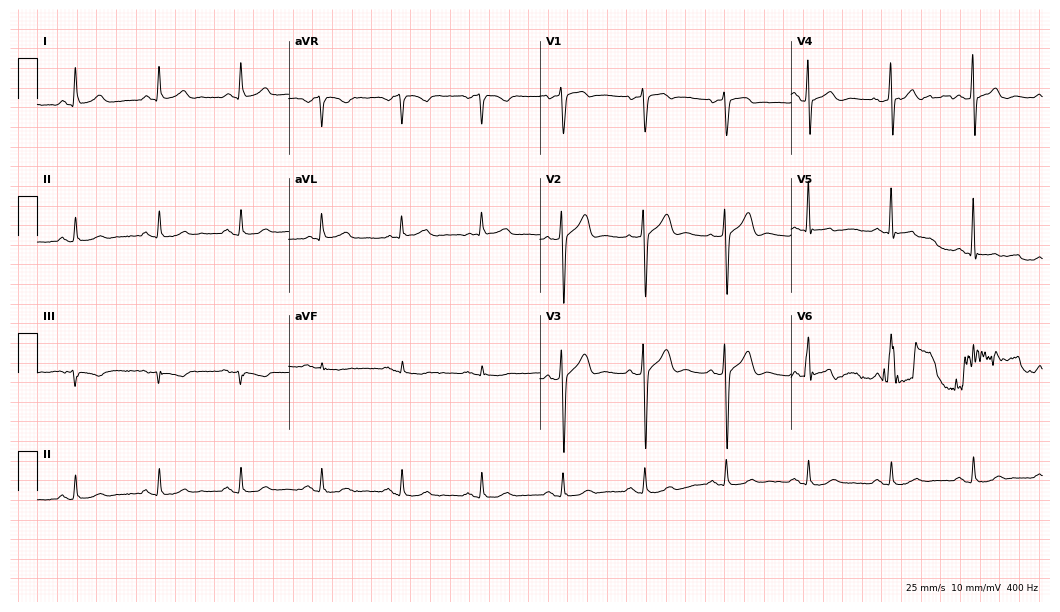
Electrocardiogram (10.2-second recording at 400 Hz), a 73-year-old male. Of the six screened findings (first-degree AV block, right bundle branch block, left bundle branch block, sinus bradycardia, atrial fibrillation, sinus tachycardia), none is recorded.